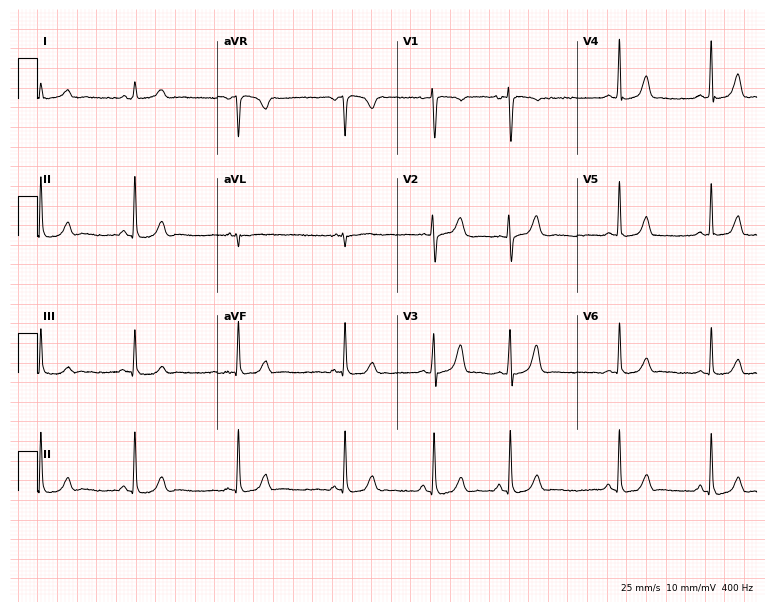
12-lead ECG from a female patient, 19 years old. Recorded interpretation: within normal limits.